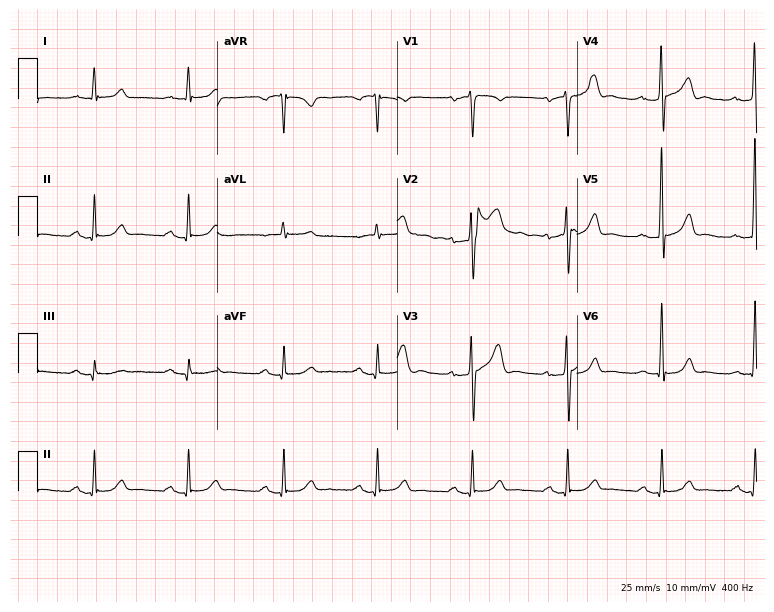
Standard 12-lead ECG recorded from a male patient, 51 years old (7.3-second recording at 400 Hz). Read as a normal ECG.